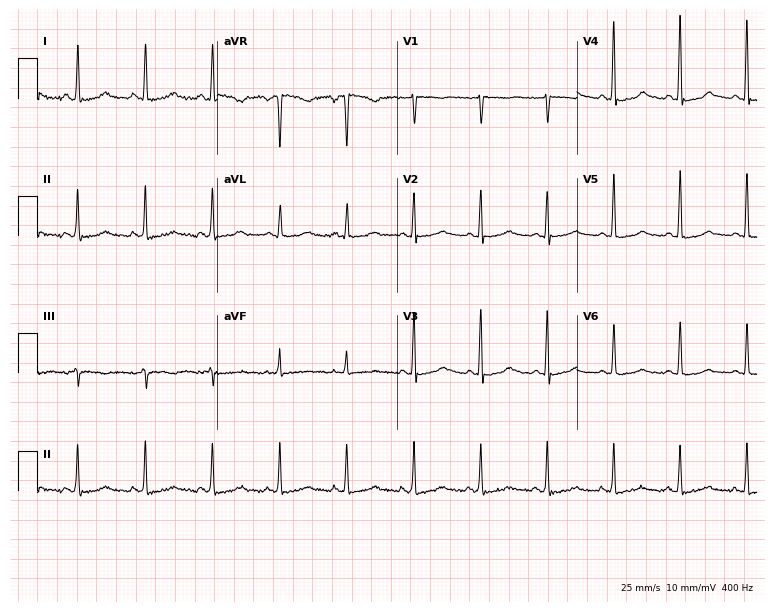
Resting 12-lead electrocardiogram (7.3-second recording at 400 Hz). Patient: a male, 57 years old. None of these six findings is recorded: first-degree AV block, right bundle branch block (RBBB), left bundle branch block (LBBB), sinus bradycardia, atrial fibrillation (AF), sinus tachycardia. Findings outside these six are not listed.